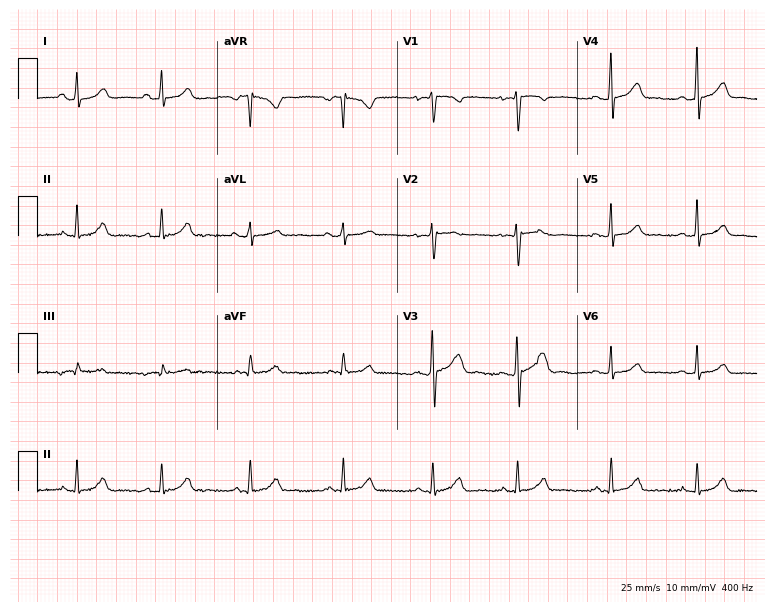
12-lead ECG from a female, 21 years old. Recorded interpretation: within normal limits.